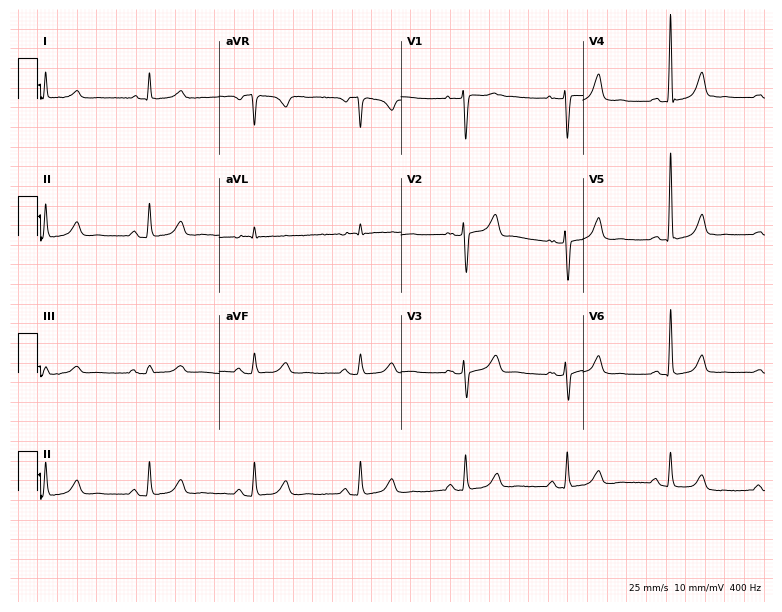
ECG (7.4-second recording at 400 Hz) — a woman, 67 years old. Labelled as a normal ECG.